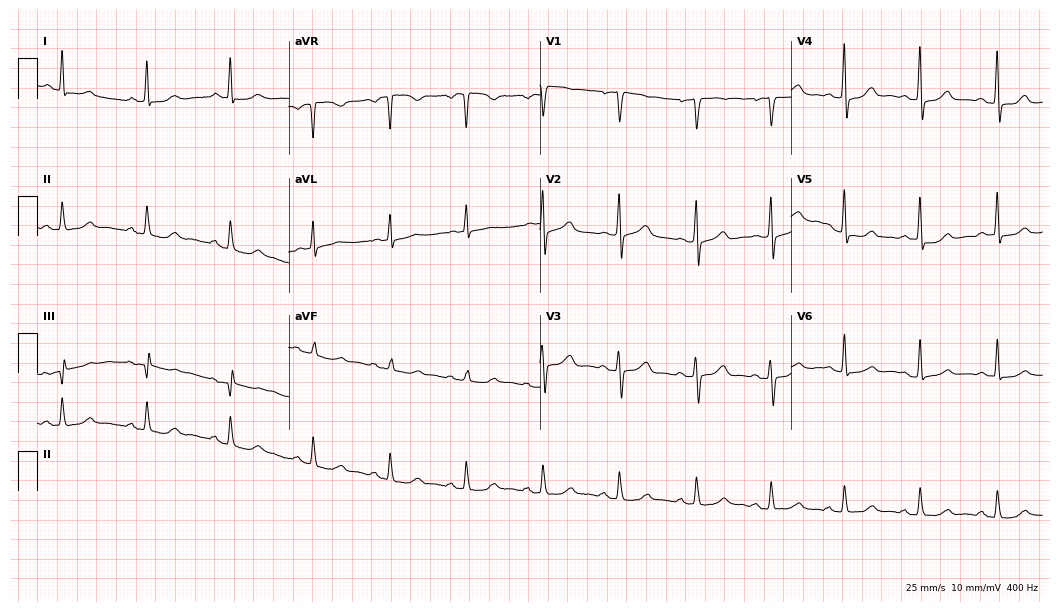
12-lead ECG from a female patient, 53 years old. Labelled as a normal ECG.